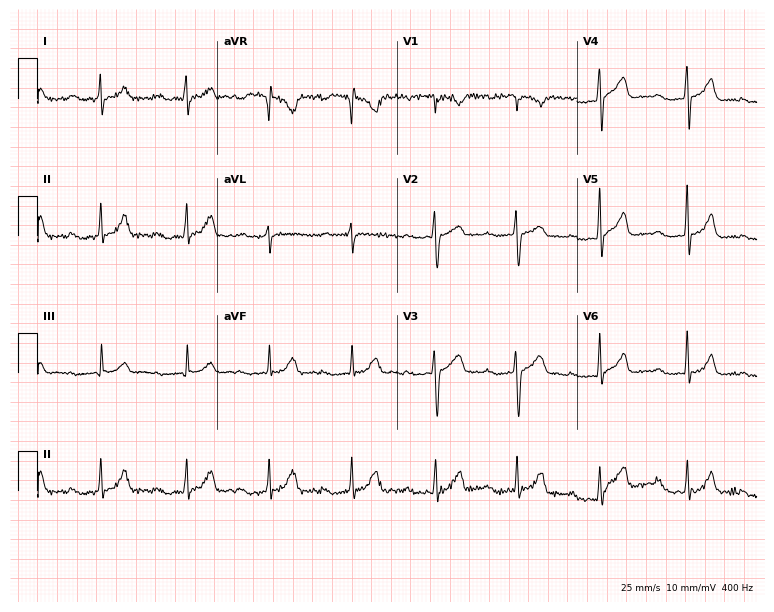
Electrocardiogram, a 26-year-old woman. Interpretation includes first-degree AV block.